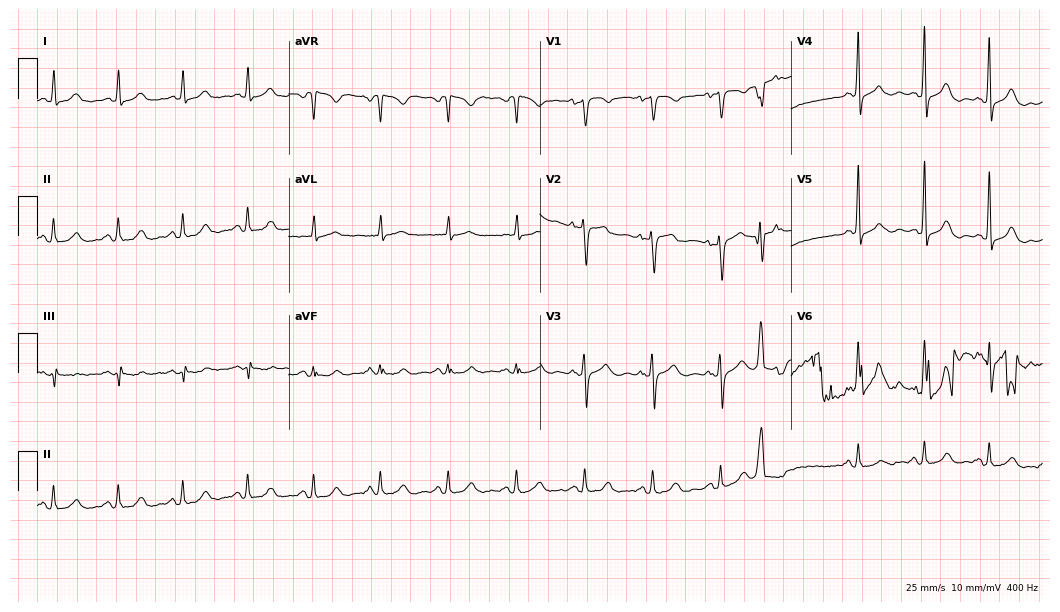
12-lead ECG from a 77-year-old female patient (10.2-second recording at 400 Hz). No first-degree AV block, right bundle branch block (RBBB), left bundle branch block (LBBB), sinus bradycardia, atrial fibrillation (AF) or sinus tachycardia recorded for this tracing.